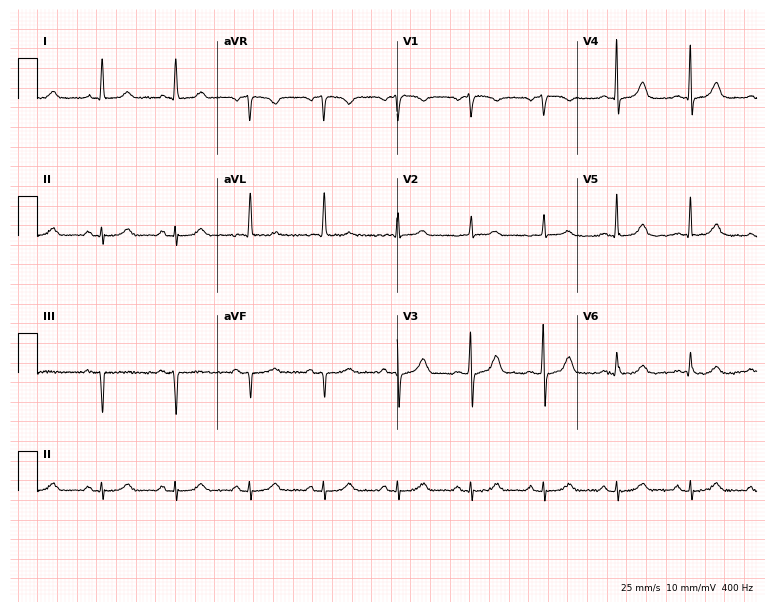
12-lead ECG (7.3-second recording at 400 Hz) from a woman, 44 years old. Screened for six findings — first-degree AV block, right bundle branch block (RBBB), left bundle branch block (LBBB), sinus bradycardia, atrial fibrillation (AF), sinus tachycardia — none is recorded. Other findings, if any, are not listed.